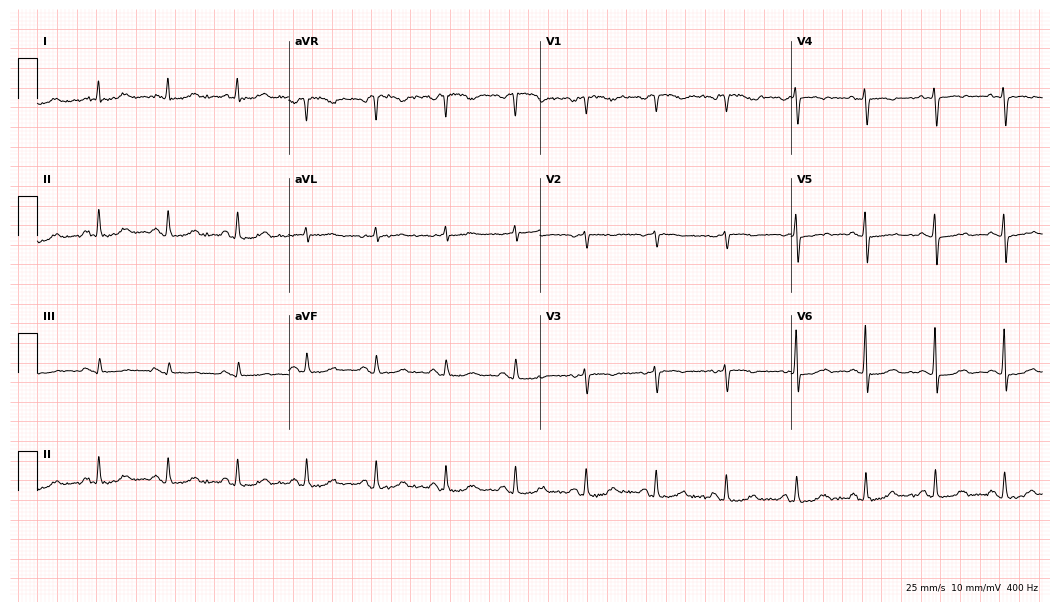
12-lead ECG from a 77-year-old woman. Screened for six findings — first-degree AV block, right bundle branch block, left bundle branch block, sinus bradycardia, atrial fibrillation, sinus tachycardia — none is recorded.